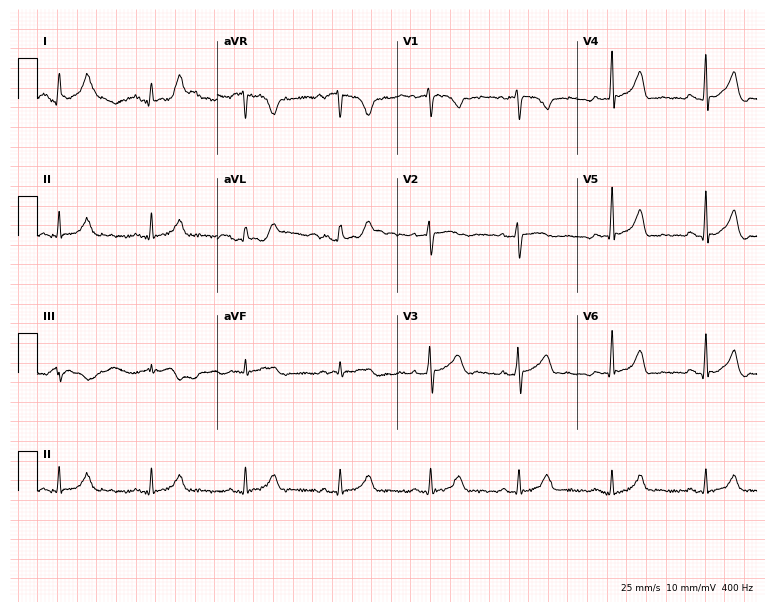
12-lead ECG from a 33-year-old female patient. Recorded interpretation: within normal limits.